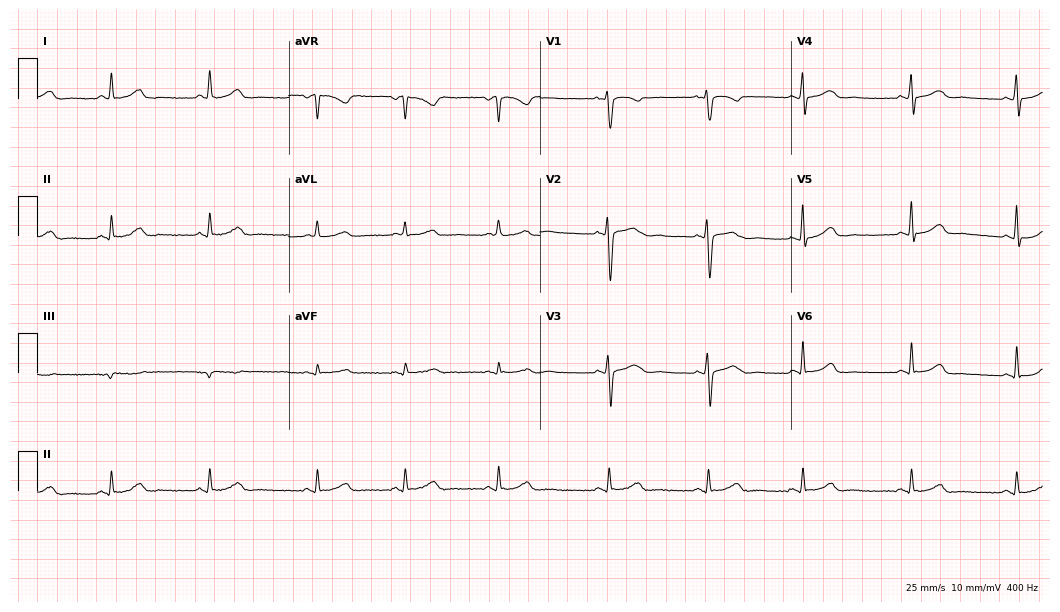
12-lead ECG from a woman, 34 years old. Labelled as a normal ECG.